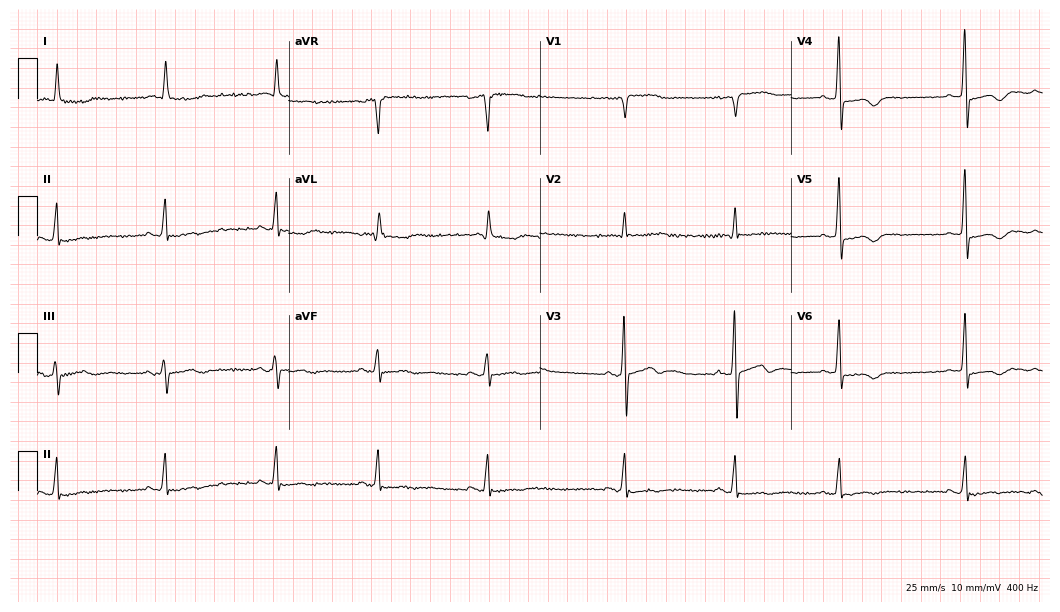
Standard 12-lead ECG recorded from a 78-year-old female patient (10.2-second recording at 400 Hz). None of these six findings is recorded: first-degree AV block, right bundle branch block (RBBB), left bundle branch block (LBBB), sinus bradycardia, atrial fibrillation (AF), sinus tachycardia.